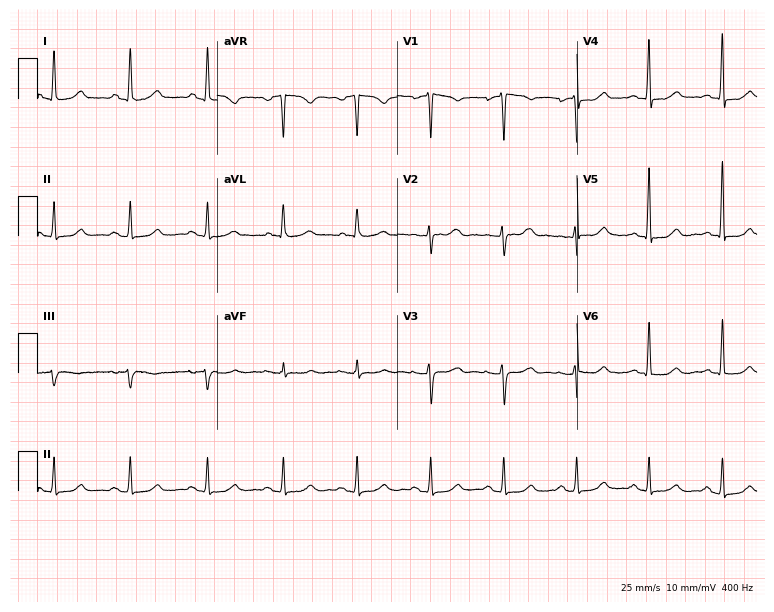
Resting 12-lead electrocardiogram. Patient: a 60-year-old woman. Read as a normal ECG.